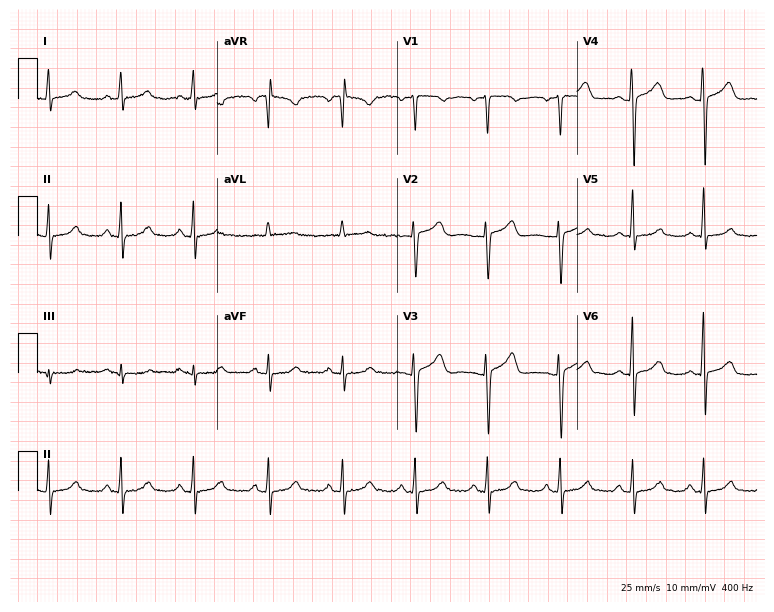
Electrocardiogram, a female patient, 30 years old. Overall reading on record: normal ECG.